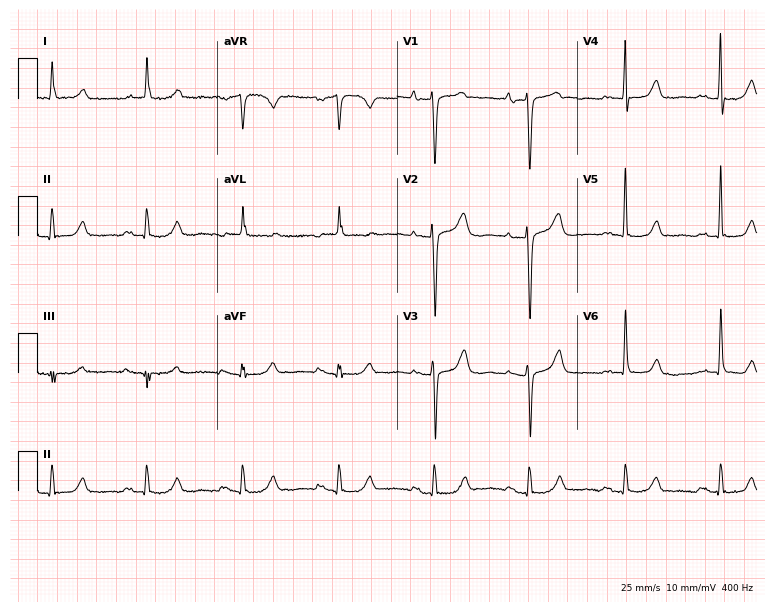
ECG — a female patient, 66 years old. Screened for six findings — first-degree AV block, right bundle branch block, left bundle branch block, sinus bradycardia, atrial fibrillation, sinus tachycardia — none is recorded.